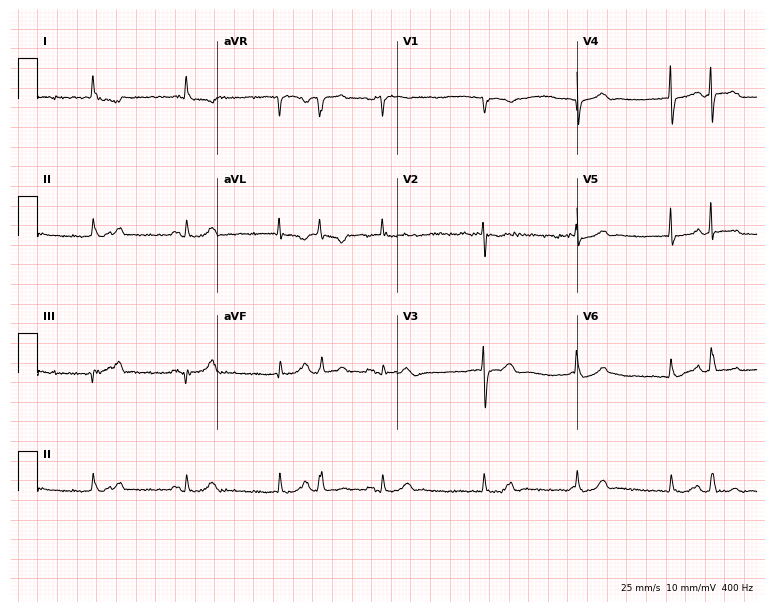
12-lead ECG from an 85-year-old female patient. Recorded interpretation: within normal limits.